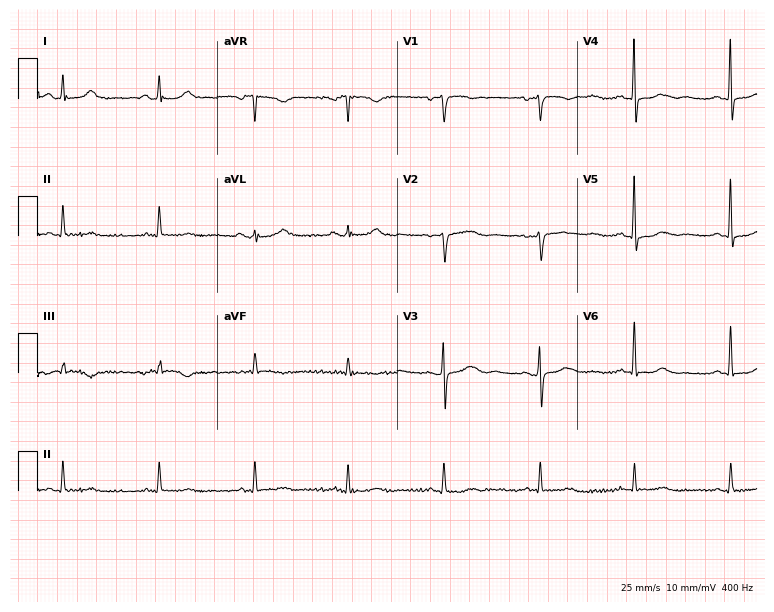
12-lead ECG (7.3-second recording at 400 Hz) from a woman, 78 years old. Screened for six findings — first-degree AV block, right bundle branch block (RBBB), left bundle branch block (LBBB), sinus bradycardia, atrial fibrillation (AF), sinus tachycardia — none is recorded. Findings outside these six are not listed.